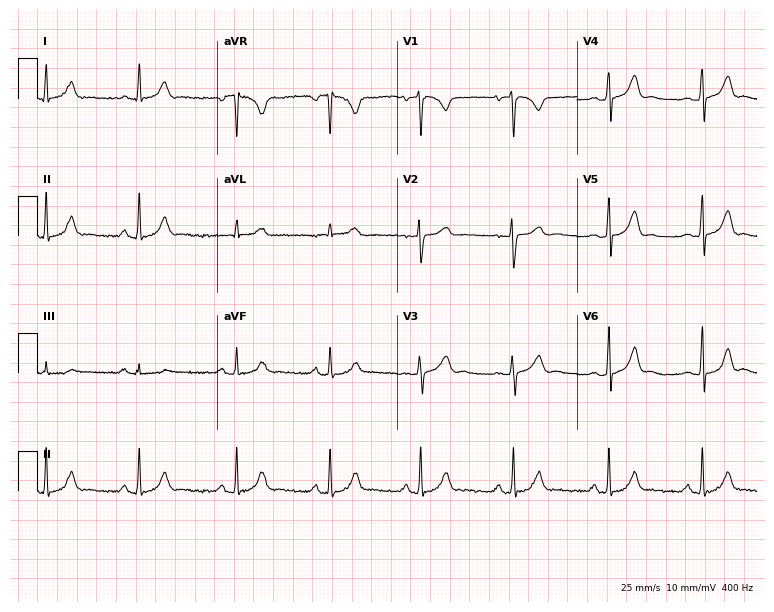
Resting 12-lead electrocardiogram. Patient: a 25-year-old female. None of these six findings is recorded: first-degree AV block, right bundle branch block, left bundle branch block, sinus bradycardia, atrial fibrillation, sinus tachycardia.